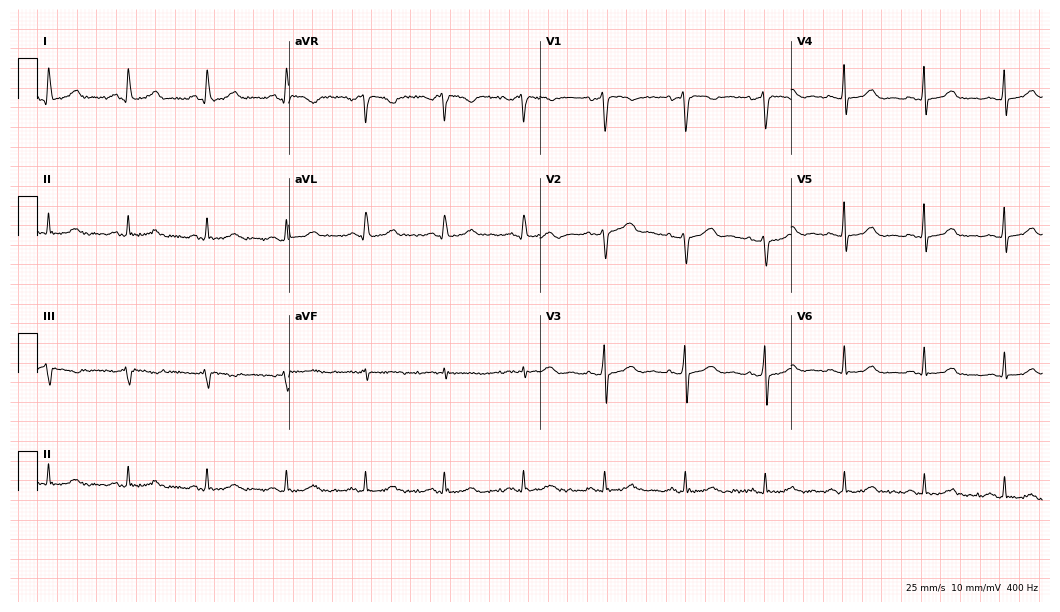
12-lead ECG from a 49-year-old woman. Labelled as a normal ECG.